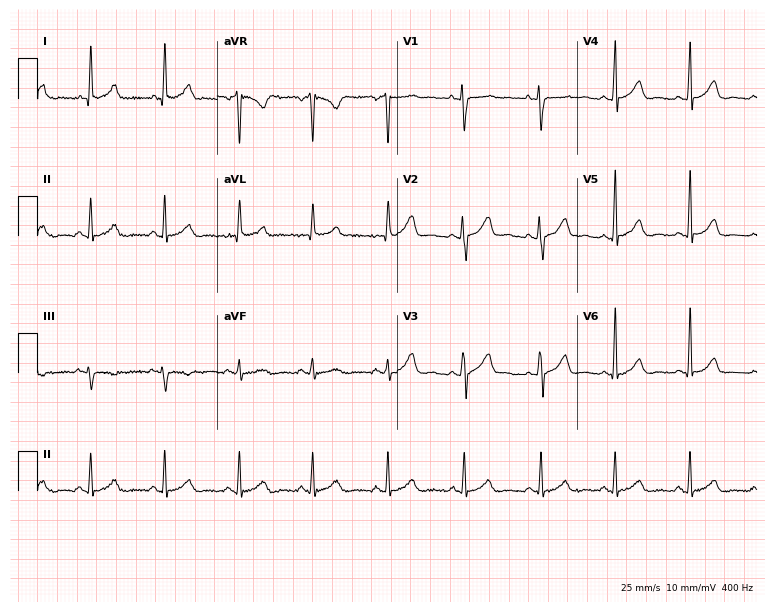
Electrocardiogram, a 38-year-old female. Of the six screened findings (first-degree AV block, right bundle branch block, left bundle branch block, sinus bradycardia, atrial fibrillation, sinus tachycardia), none is recorded. Findings outside these six are not listed.